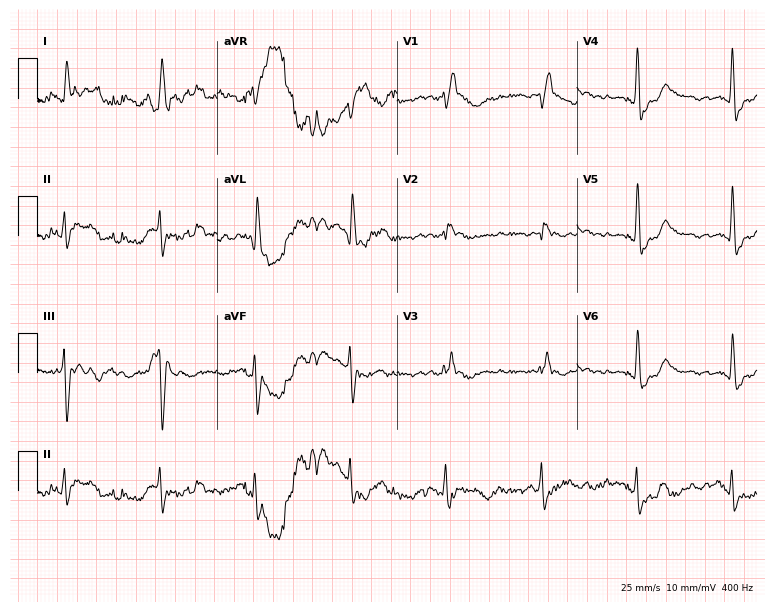
12-lead ECG from a 74-year-old female patient (7.3-second recording at 400 Hz). Shows right bundle branch block.